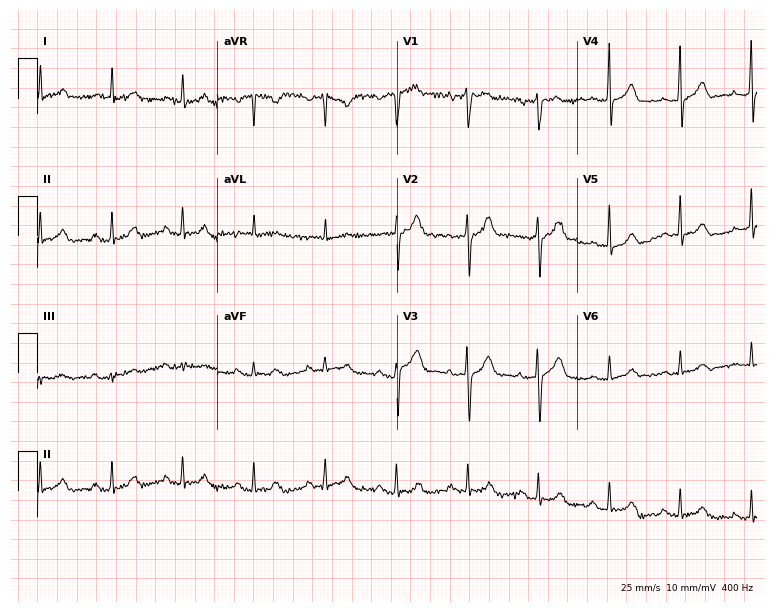
12-lead ECG from a male, 55 years old. Screened for six findings — first-degree AV block, right bundle branch block, left bundle branch block, sinus bradycardia, atrial fibrillation, sinus tachycardia — none is recorded.